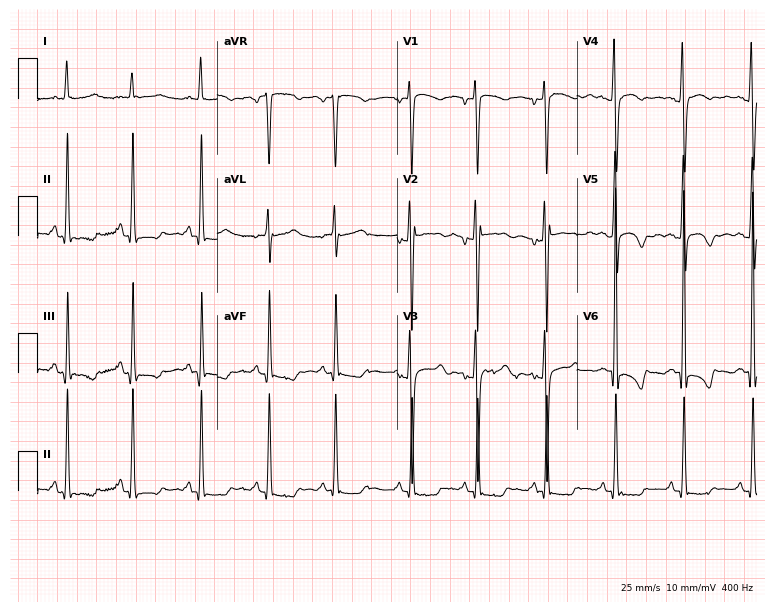
Electrocardiogram (7.3-second recording at 400 Hz), a woman, 27 years old. Of the six screened findings (first-degree AV block, right bundle branch block (RBBB), left bundle branch block (LBBB), sinus bradycardia, atrial fibrillation (AF), sinus tachycardia), none is recorded. Findings outside these six are not listed.